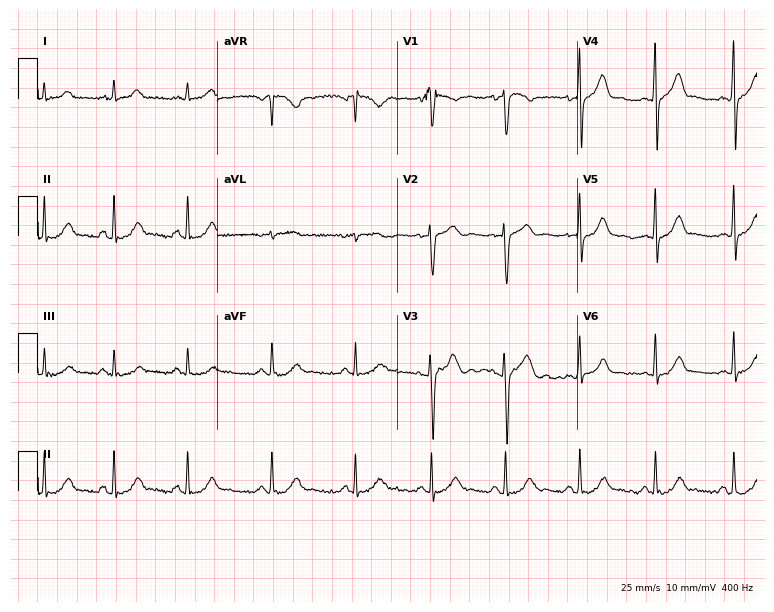
12-lead ECG from a 24-year-old male patient. Labelled as a normal ECG.